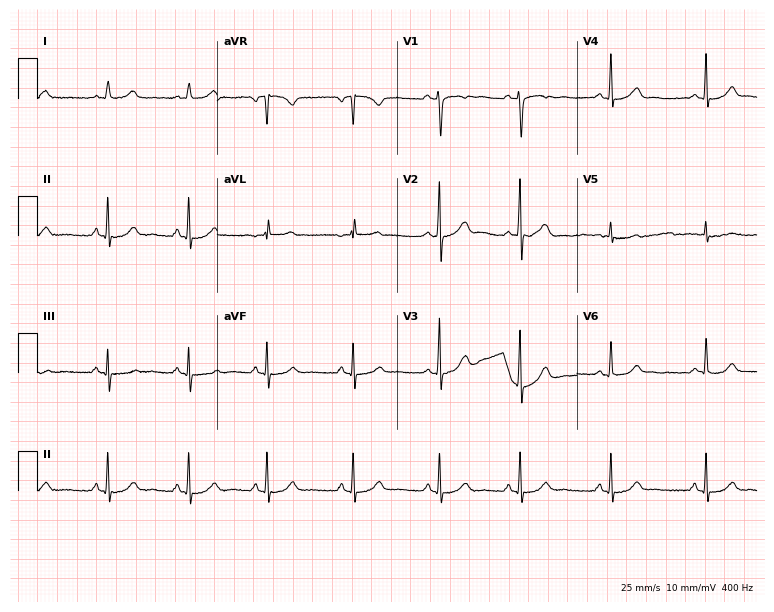
Electrocardiogram, a female patient, 20 years old. Overall reading on record: normal ECG.